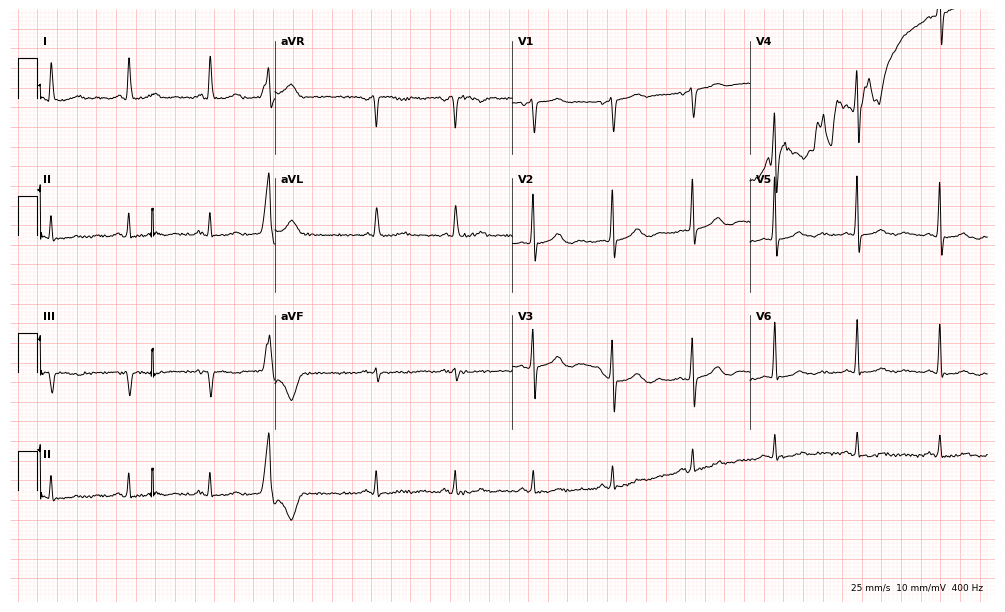
12-lead ECG from a 60-year-old female patient. Screened for six findings — first-degree AV block, right bundle branch block, left bundle branch block, sinus bradycardia, atrial fibrillation, sinus tachycardia — none is recorded. Findings outside these six are not listed.